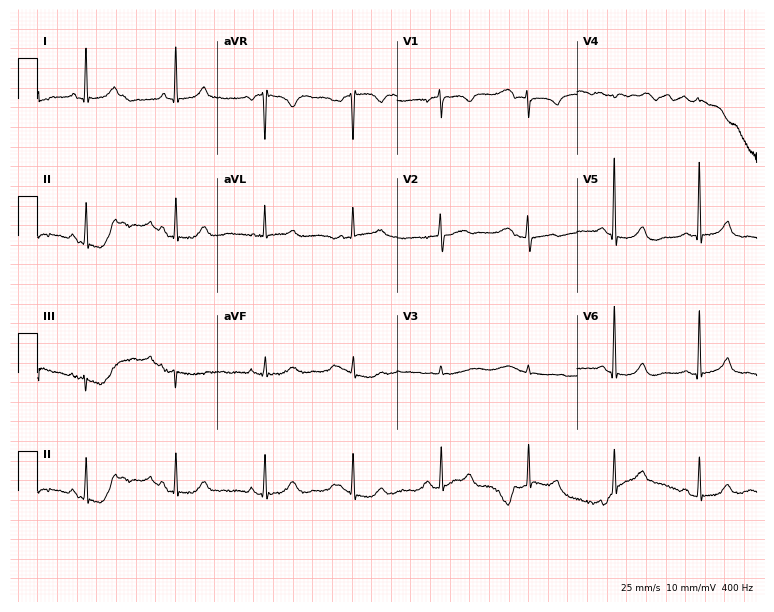
Resting 12-lead electrocardiogram. Patient: a 64-year-old female. Read as a normal ECG.